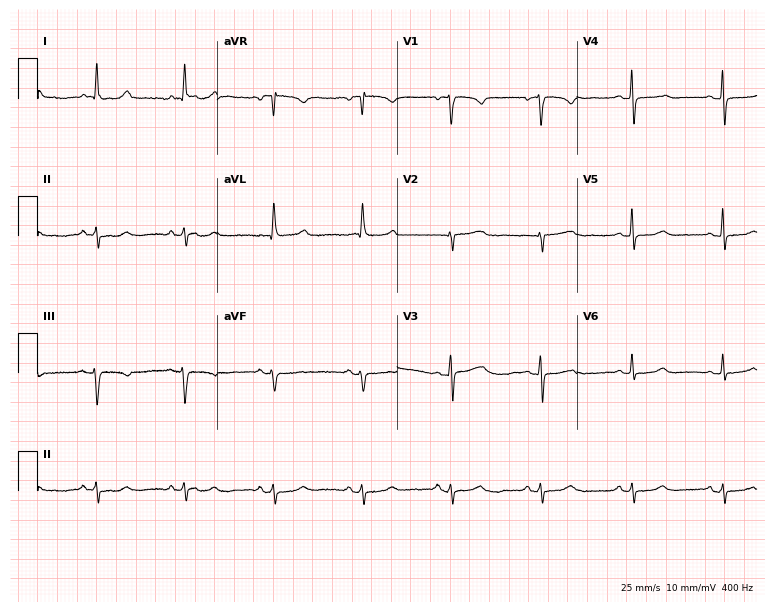
12-lead ECG (7.3-second recording at 400 Hz) from a woman, 62 years old. Screened for six findings — first-degree AV block, right bundle branch block, left bundle branch block, sinus bradycardia, atrial fibrillation, sinus tachycardia — none is recorded.